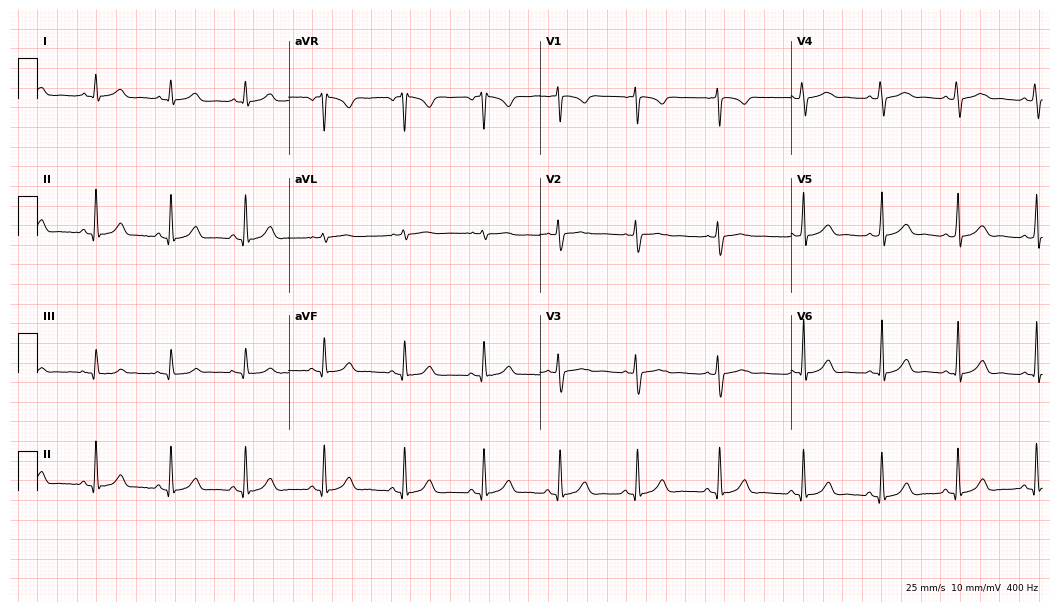
Resting 12-lead electrocardiogram (10.2-second recording at 400 Hz). Patient: a 29-year-old woman. Read as a normal ECG.